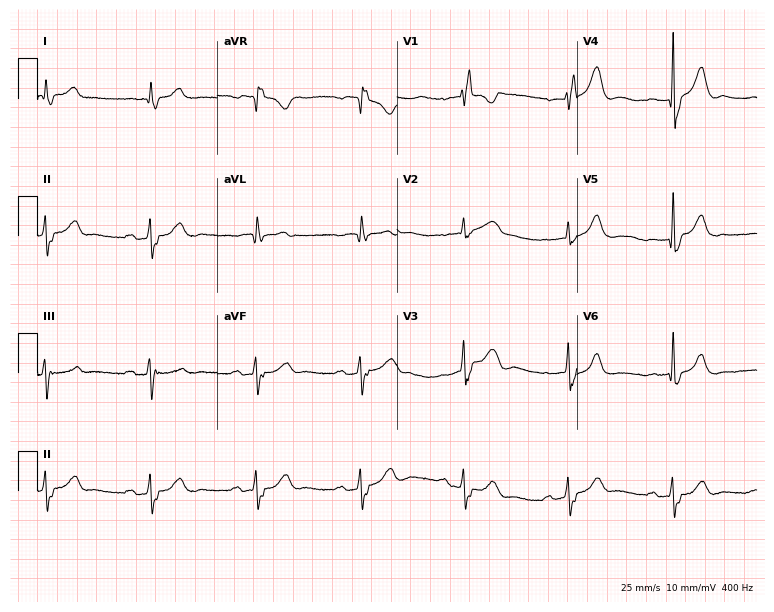
Standard 12-lead ECG recorded from a man, 83 years old (7.3-second recording at 400 Hz). The tracing shows first-degree AV block, right bundle branch block (RBBB).